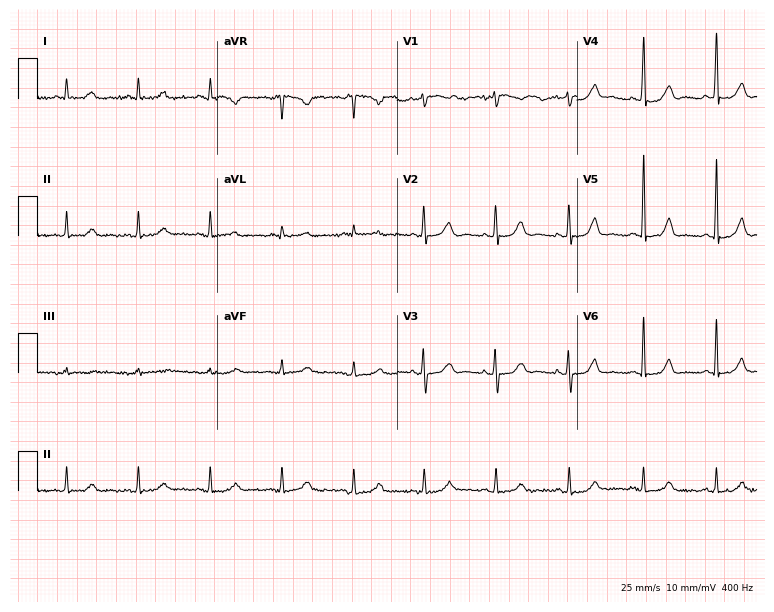
Resting 12-lead electrocardiogram (7.3-second recording at 400 Hz). Patient: a 64-year-old female. Read as a normal ECG.